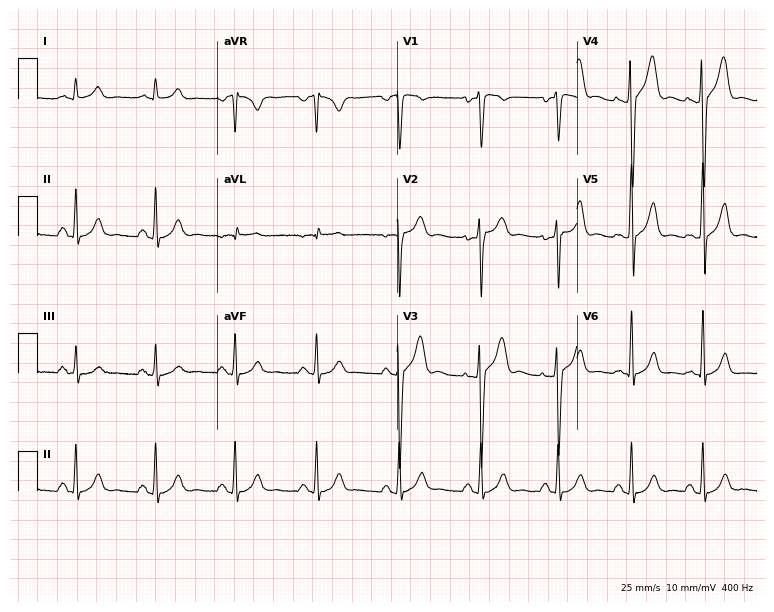
Standard 12-lead ECG recorded from a man, 32 years old (7.3-second recording at 400 Hz). None of these six findings is recorded: first-degree AV block, right bundle branch block, left bundle branch block, sinus bradycardia, atrial fibrillation, sinus tachycardia.